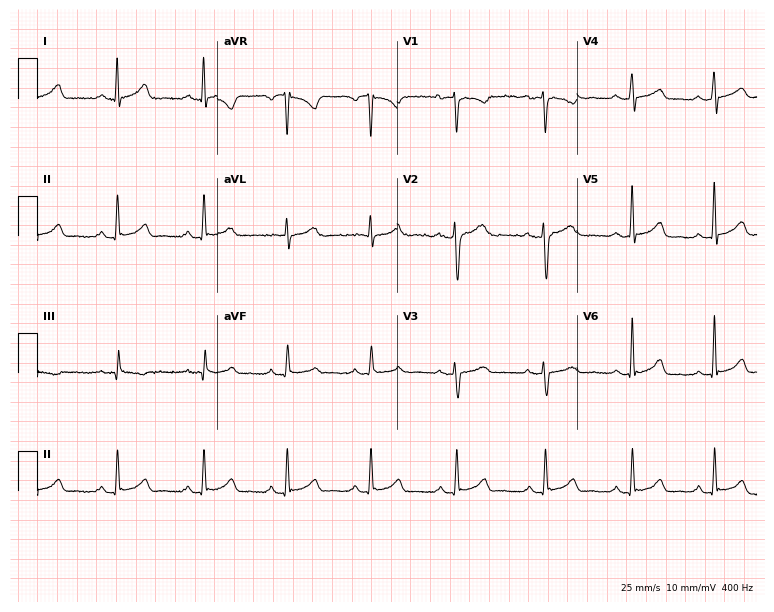
Electrocardiogram (7.3-second recording at 400 Hz), a 31-year-old female. Overall reading on record: normal ECG.